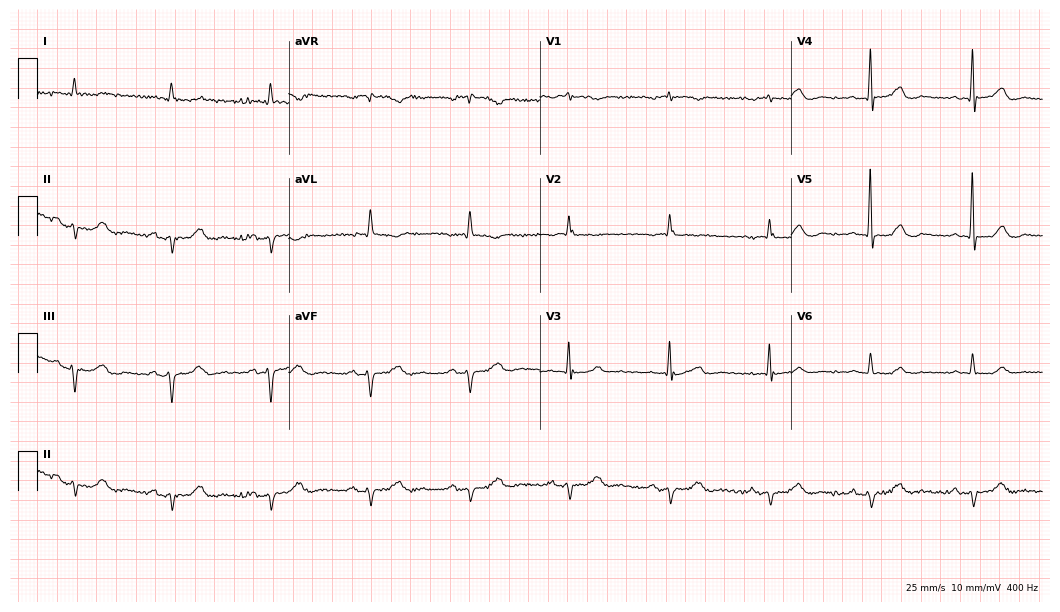
Electrocardiogram, an 82-year-old female patient. Of the six screened findings (first-degree AV block, right bundle branch block, left bundle branch block, sinus bradycardia, atrial fibrillation, sinus tachycardia), none is recorded. Findings outside these six are not listed.